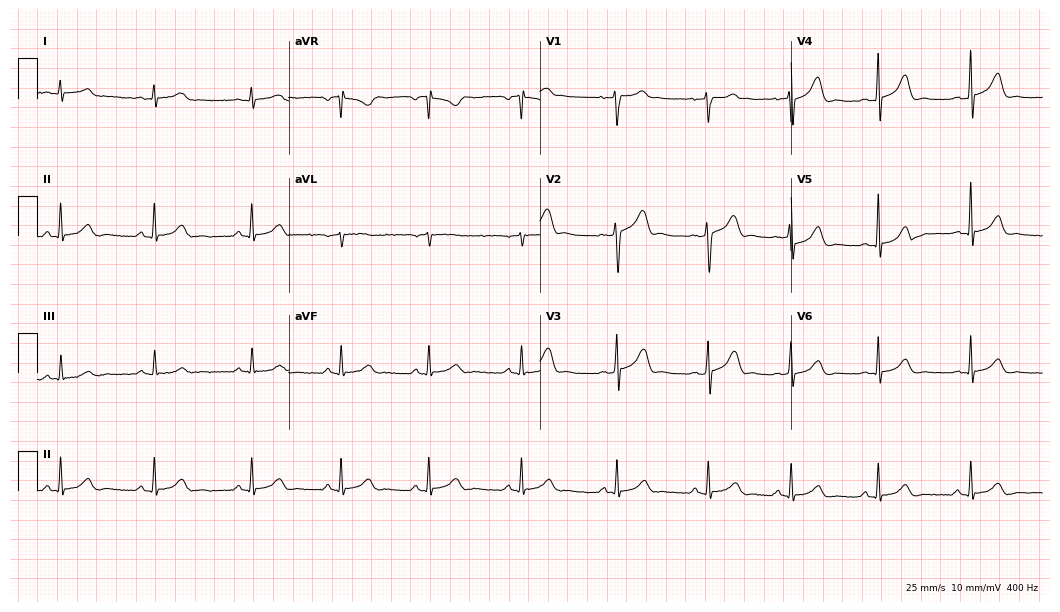
Resting 12-lead electrocardiogram. Patient: a female, 40 years old. Read as a normal ECG.